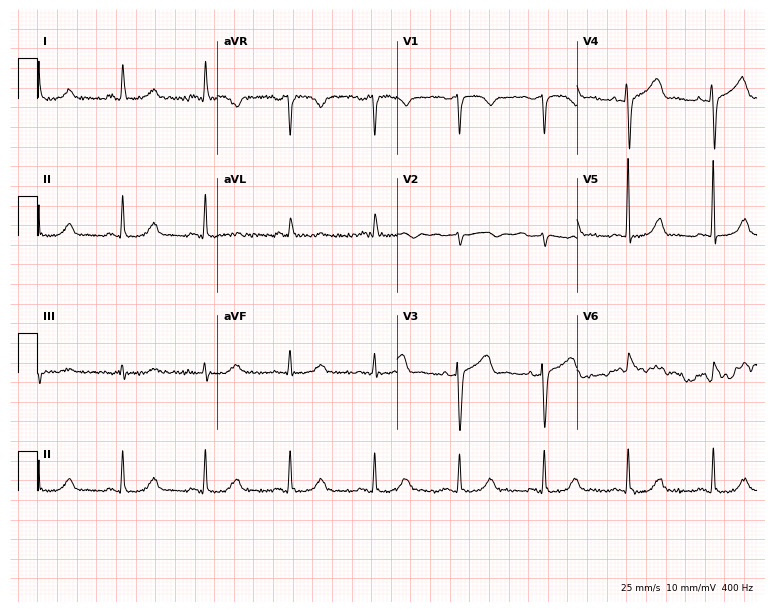
12-lead ECG from a 57-year-old female patient (7.3-second recording at 400 Hz). Recorded interpretation: within normal limits.